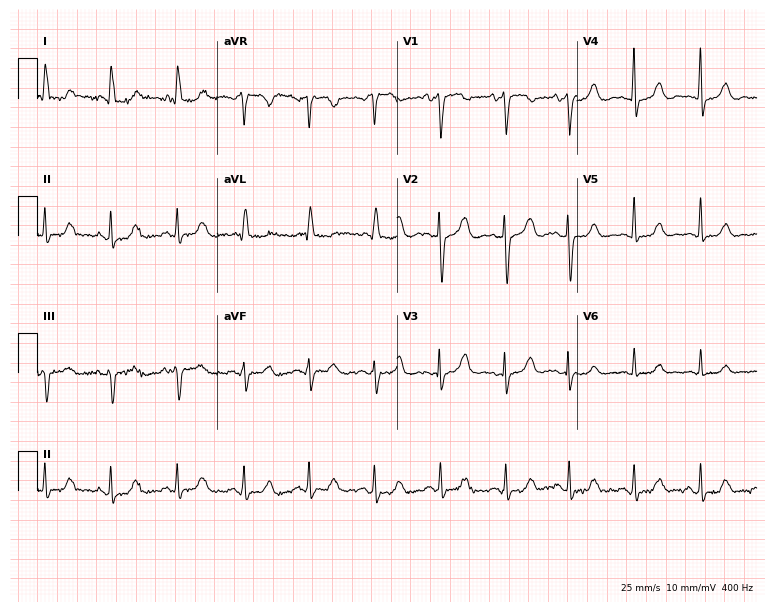
Electrocardiogram, a 72-year-old female patient. Of the six screened findings (first-degree AV block, right bundle branch block, left bundle branch block, sinus bradycardia, atrial fibrillation, sinus tachycardia), none is recorded. Other findings, if any, are not listed.